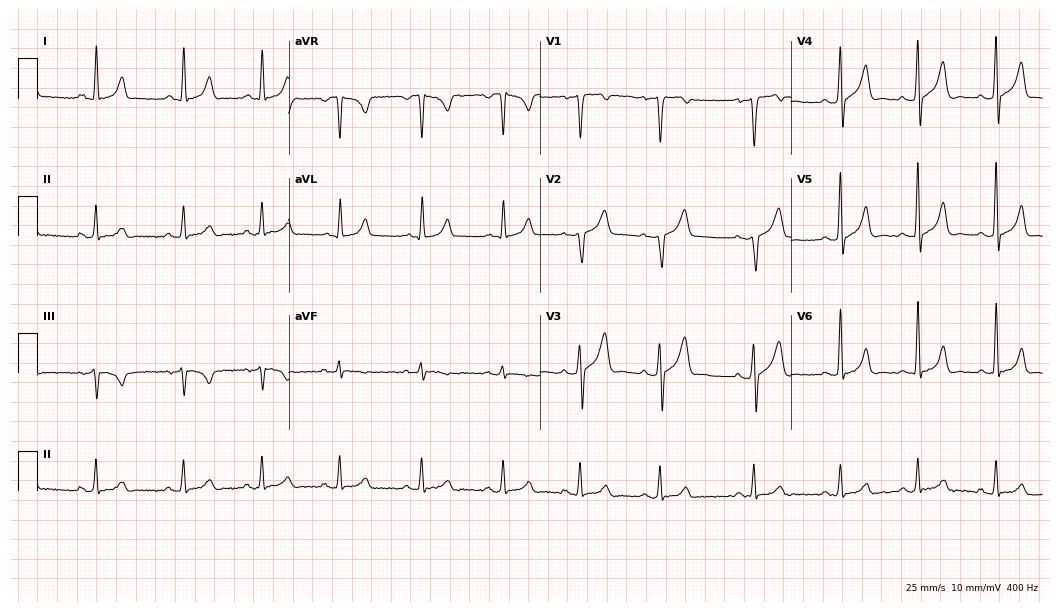
12-lead ECG (10.2-second recording at 400 Hz) from a male, 27 years old. Labelled as a normal ECG.